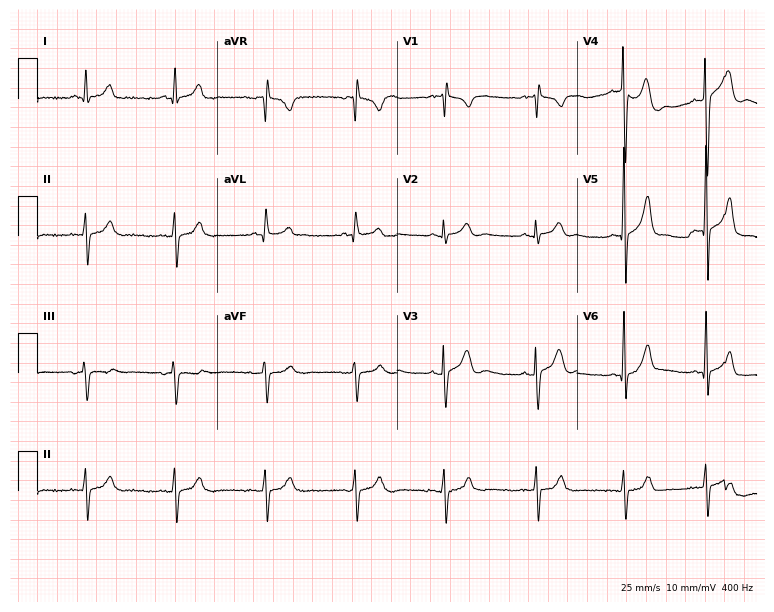
12-lead ECG (7.3-second recording at 400 Hz) from a 25-year-old male. Screened for six findings — first-degree AV block, right bundle branch block (RBBB), left bundle branch block (LBBB), sinus bradycardia, atrial fibrillation (AF), sinus tachycardia — none is recorded.